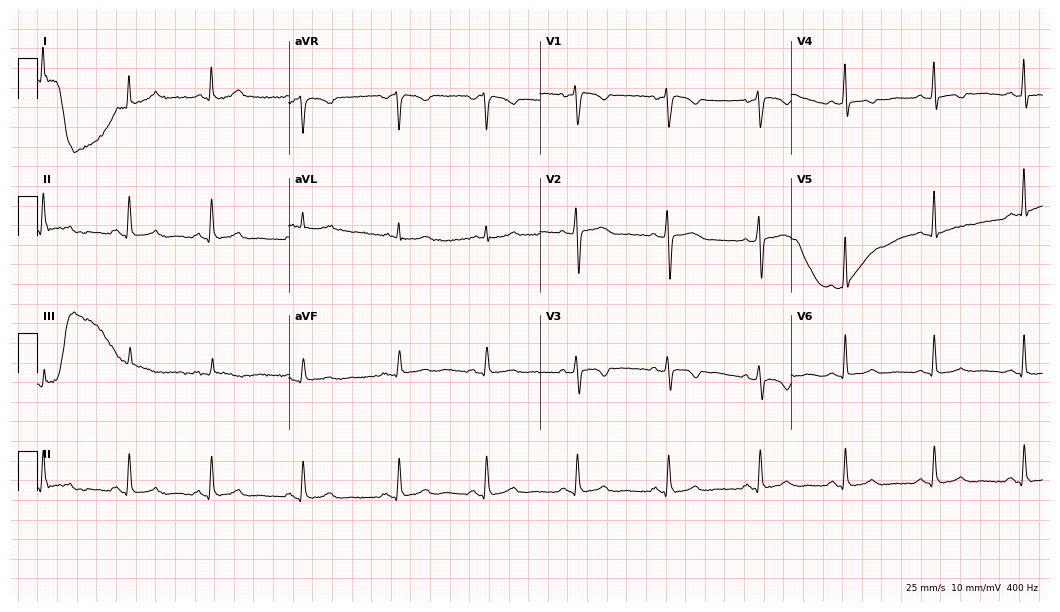
Standard 12-lead ECG recorded from a woman, 51 years old. Read as a normal ECG.